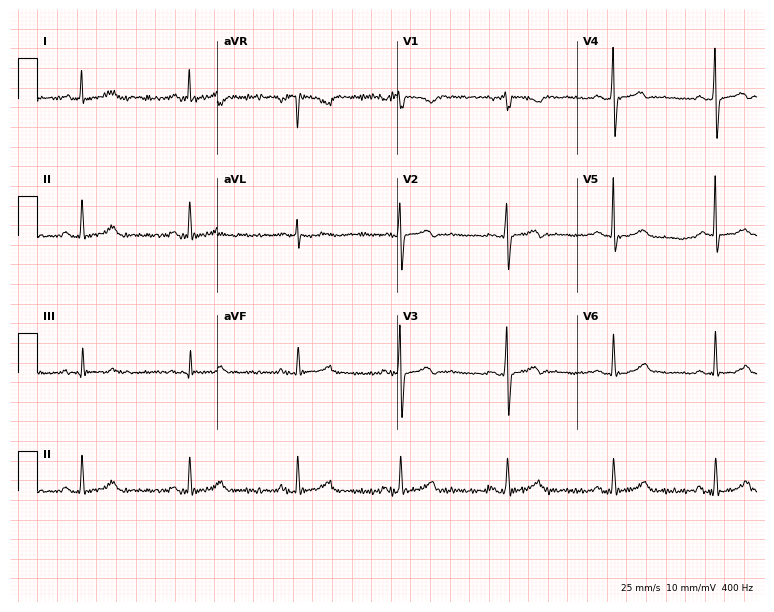
12-lead ECG from a 35-year-old female (7.3-second recording at 400 Hz). Recorded interpretation: within normal limits.